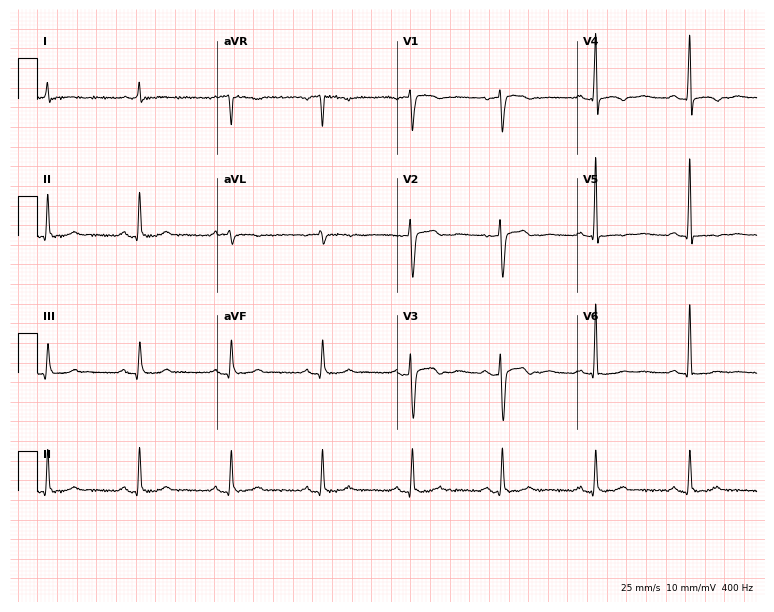
Standard 12-lead ECG recorded from a female, 63 years old (7.3-second recording at 400 Hz). None of these six findings is recorded: first-degree AV block, right bundle branch block (RBBB), left bundle branch block (LBBB), sinus bradycardia, atrial fibrillation (AF), sinus tachycardia. Findings outside these six are not listed.